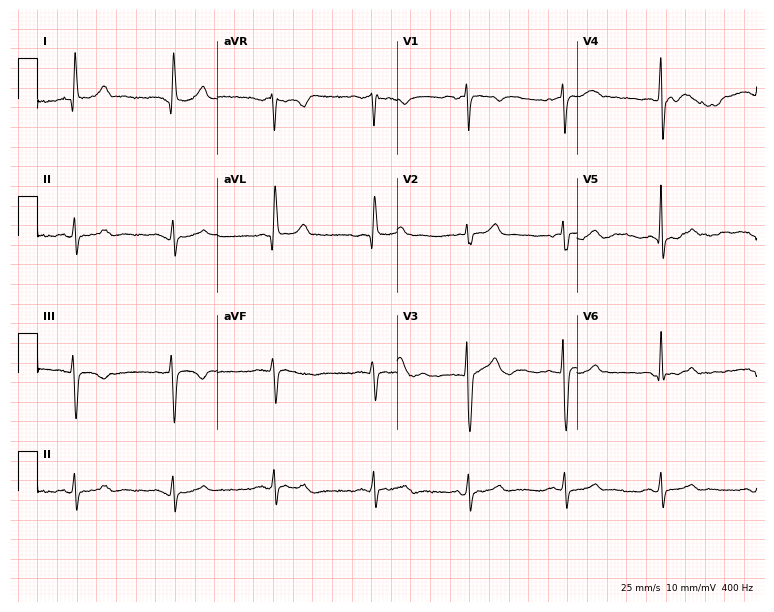
ECG — a 63-year-old male. Screened for six findings — first-degree AV block, right bundle branch block, left bundle branch block, sinus bradycardia, atrial fibrillation, sinus tachycardia — none is recorded. Findings outside these six are not listed.